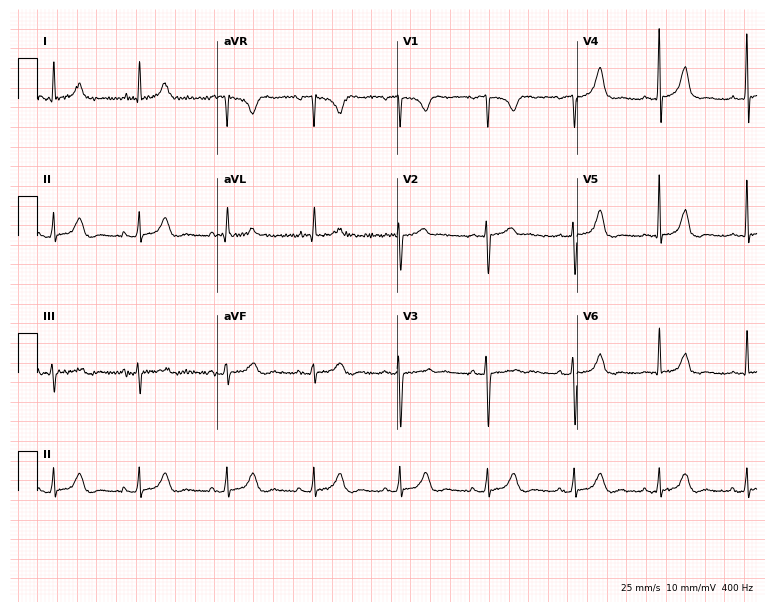
Standard 12-lead ECG recorded from a female, 57 years old (7.3-second recording at 400 Hz). None of these six findings is recorded: first-degree AV block, right bundle branch block, left bundle branch block, sinus bradycardia, atrial fibrillation, sinus tachycardia. Findings outside these six are not listed.